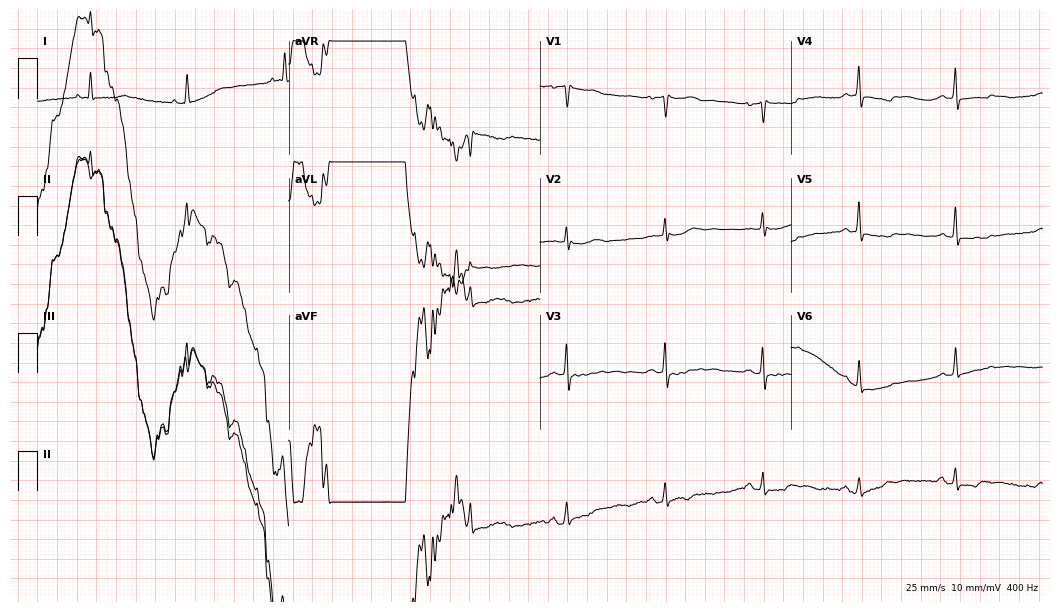
12-lead ECG from a woman, 69 years old. Screened for six findings — first-degree AV block, right bundle branch block (RBBB), left bundle branch block (LBBB), sinus bradycardia, atrial fibrillation (AF), sinus tachycardia — none is recorded. Only these six findings were labelled.